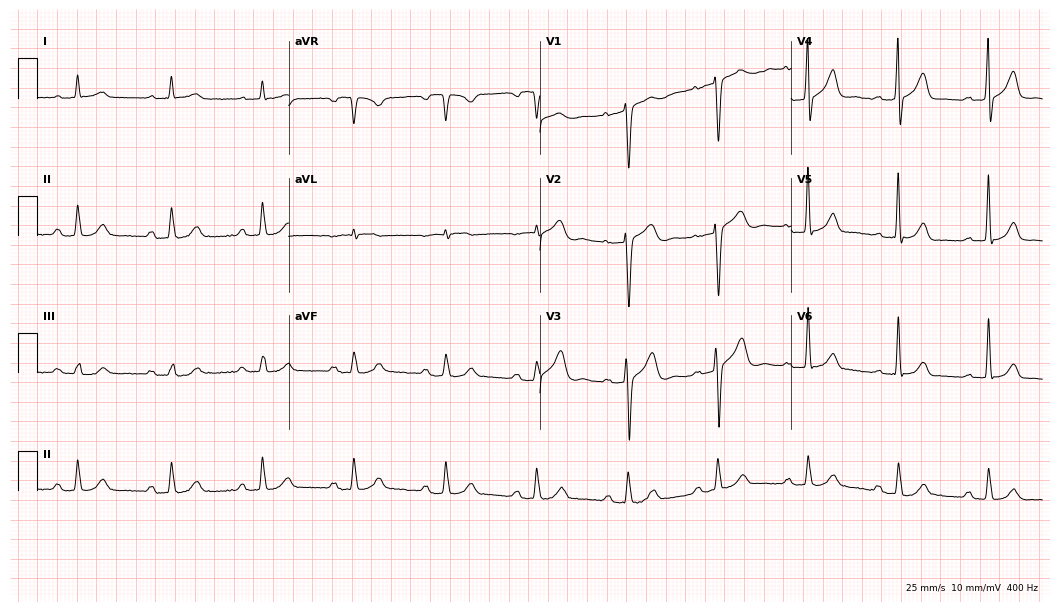
Standard 12-lead ECG recorded from a 78-year-old male. The tracing shows first-degree AV block.